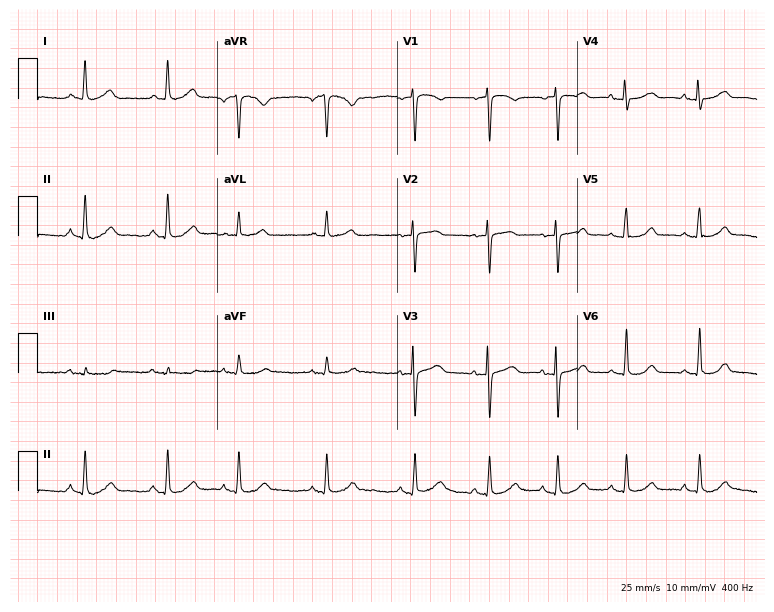
ECG — a 73-year-old woman. Screened for six findings — first-degree AV block, right bundle branch block, left bundle branch block, sinus bradycardia, atrial fibrillation, sinus tachycardia — none is recorded.